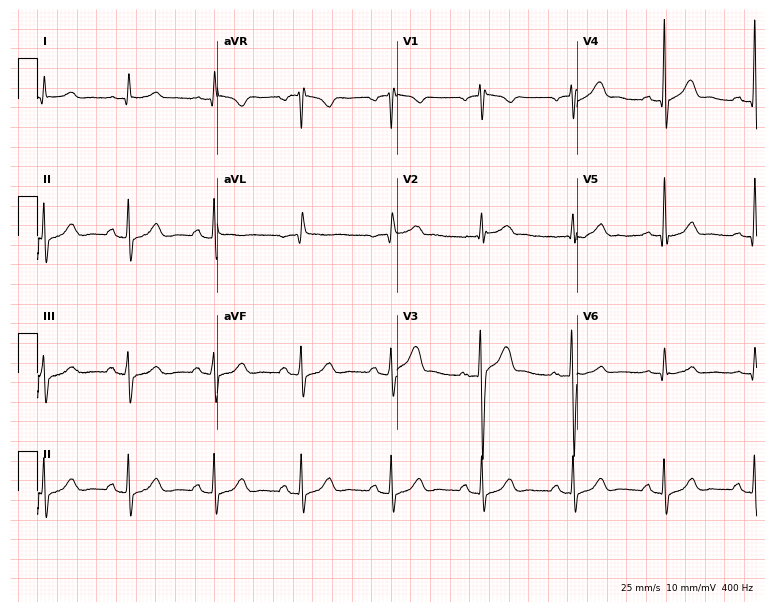
12-lead ECG (7.3-second recording at 400 Hz) from a 55-year-old man. Labelled as a normal ECG.